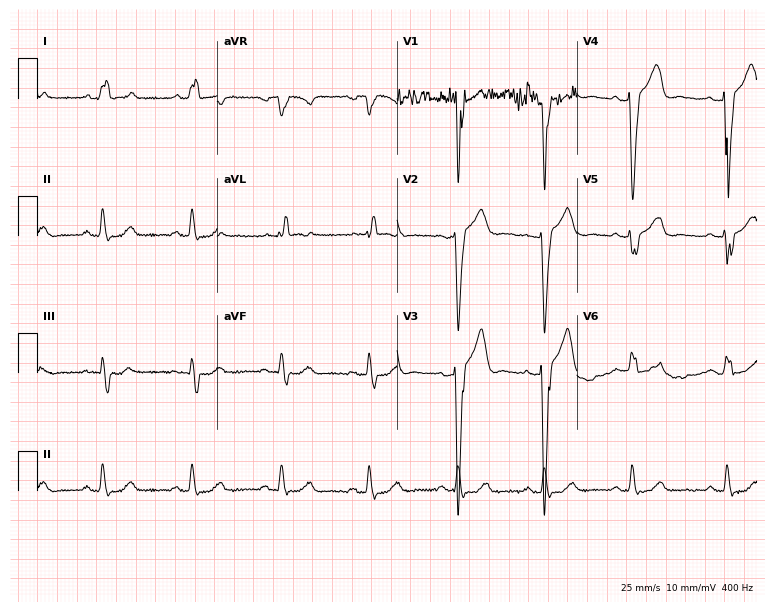
Standard 12-lead ECG recorded from a 46-year-old woman (7.3-second recording at 400 Hz). The tracing shows left bundle branch block (LBBB).